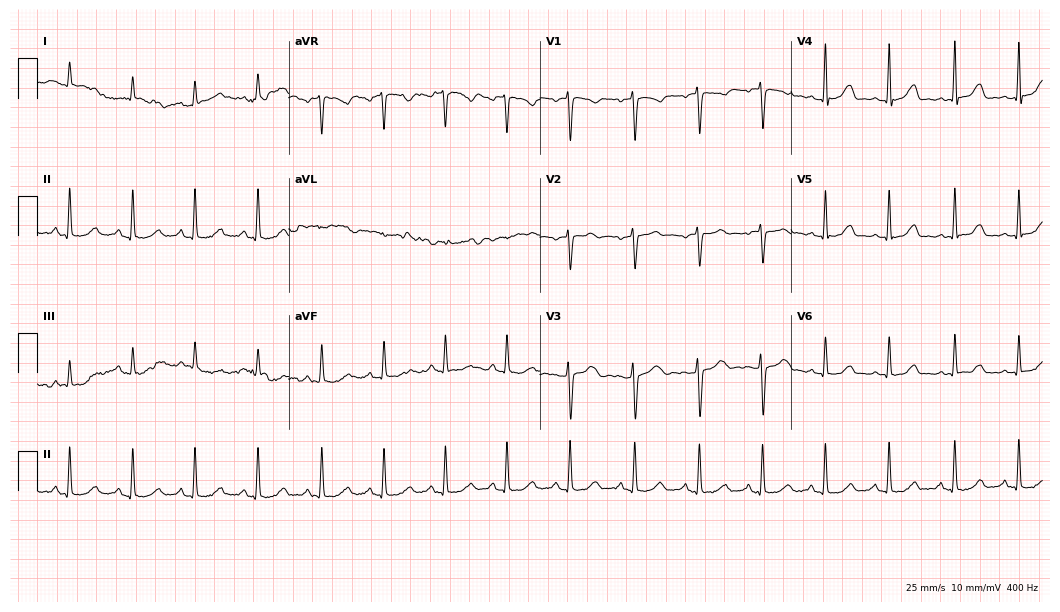
Resting 12-lead electrocardiogram (10.2-second recording at 400 Hz). Patient: a female, 36 years old. Read as a normal ECG.